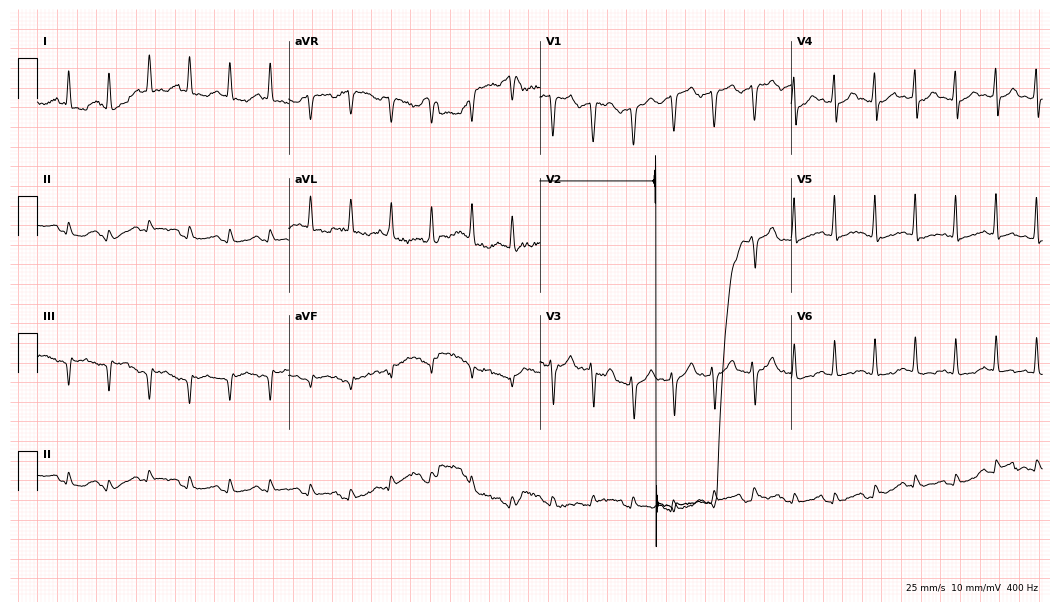
Standard 12-lead ECG recorded from a 74-year-old male patient (10.2-second recording at 400 Hz). The tracing shows sinus tachycardia (a sinus rate of 100 beats per minute or more).